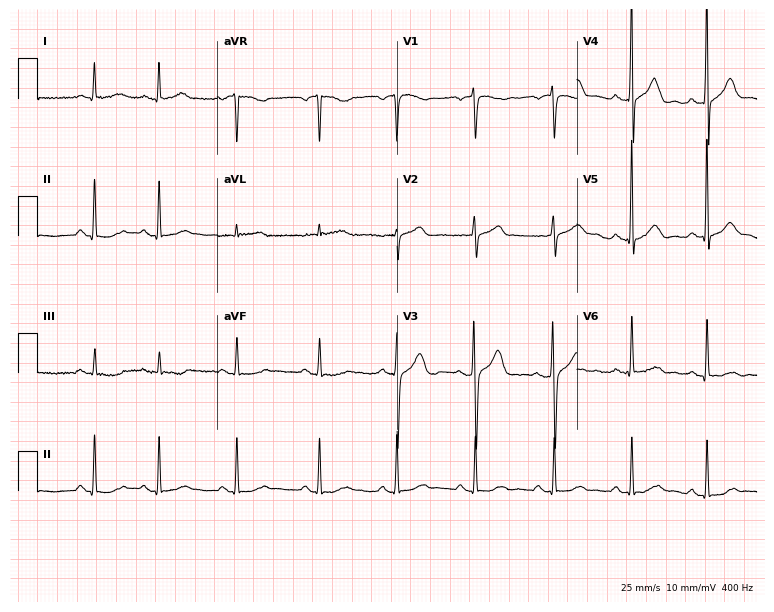
ECG — a male patient, 77 years old. Labelled as a normal ECG.